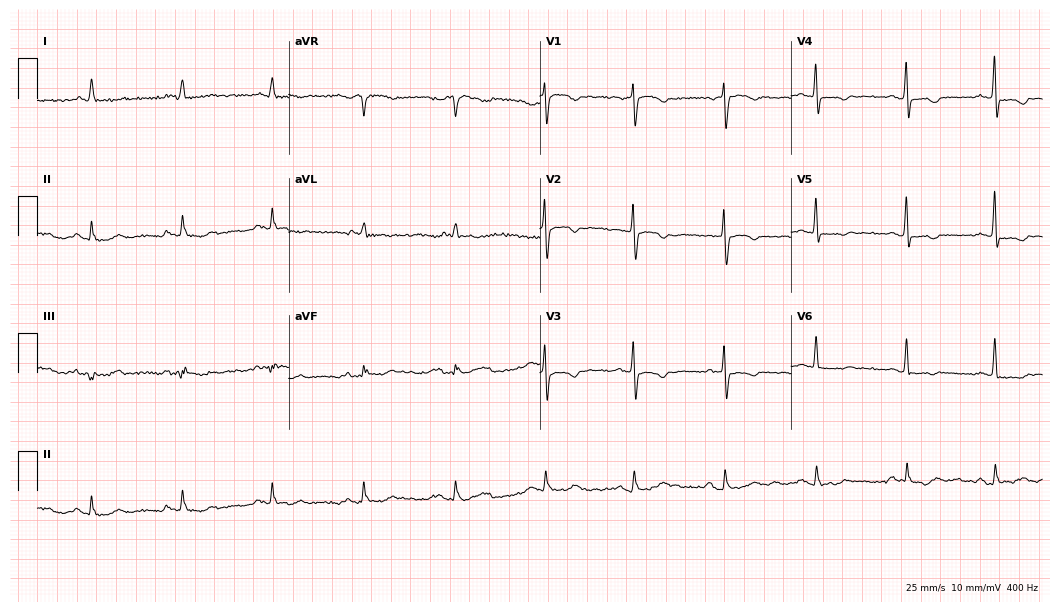
Resting 12-lead electrocardiogram. Patient: a 61-year-old female. None of these six findings is recorded: first-degree AV block, right bundle branch block, left bundle branch block, sinus bradycardia, atrial fibrillation, sinus tachycardia.